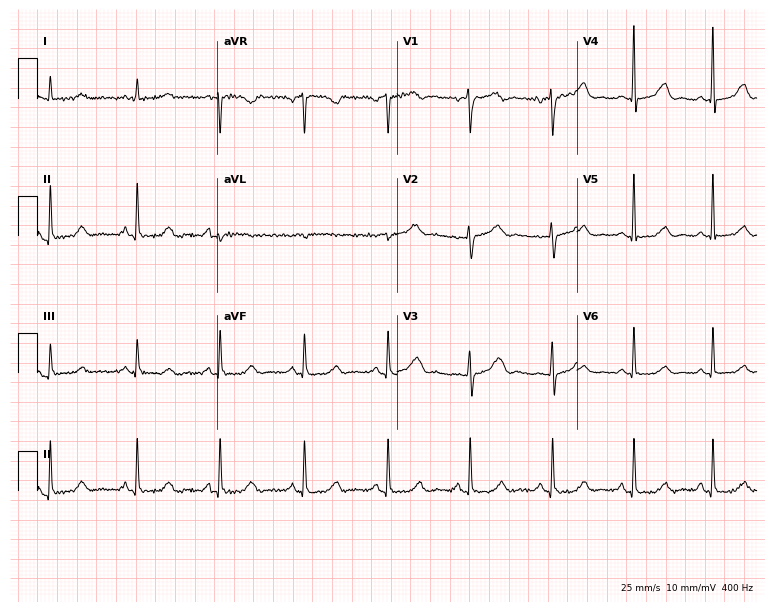
12-lead ECG (7.3-second recording at 400 Hz) from a 52-year-old woman. Labelled as a normal ECG.